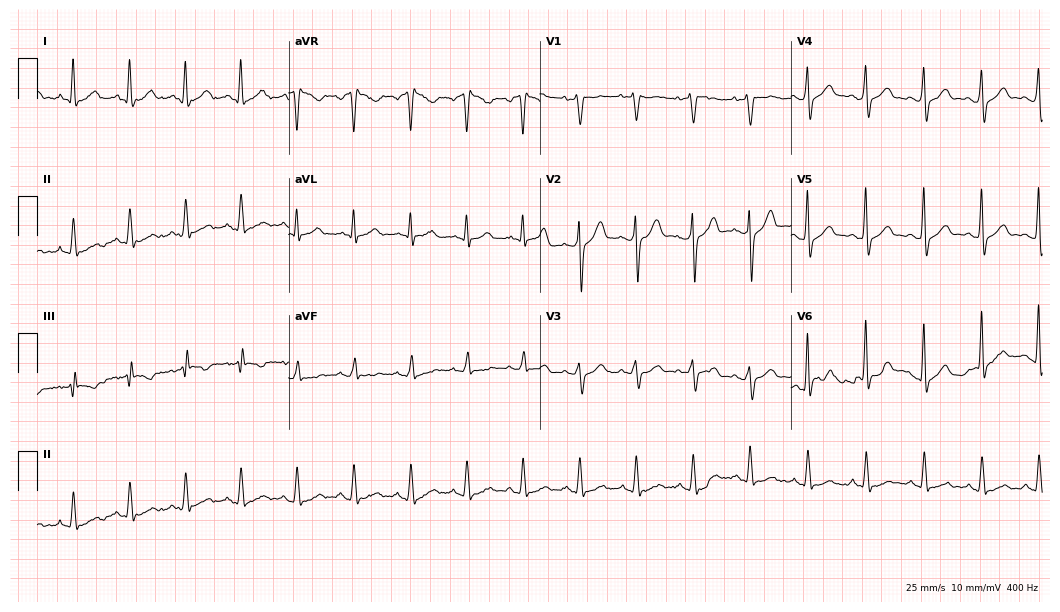
Electrocardiogram (10.2-second recording at 400 Hz), a male, 30 years old. Interpretation includes sinus tachycardia (a sinus rate of 100 beats per minute or more).